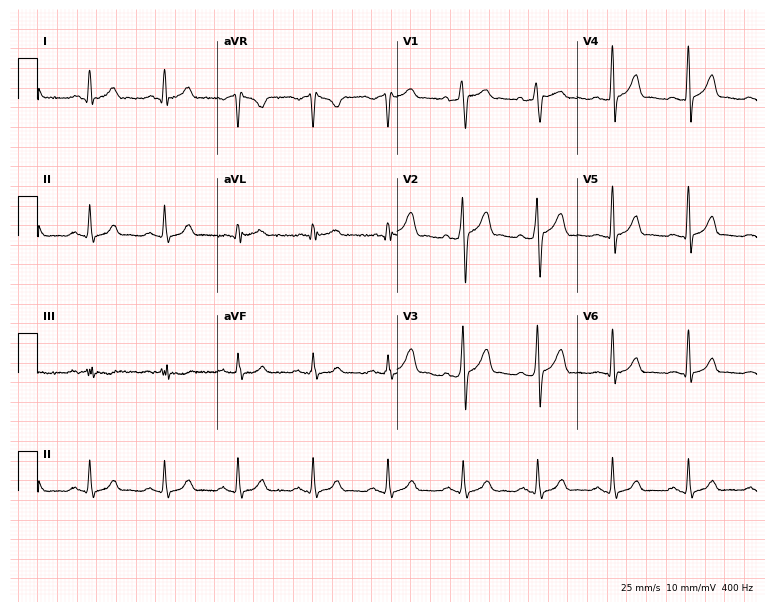
Resting 12-lead electrocardiogram. Patient: a 41-year-old male. Read as a normal ECG.